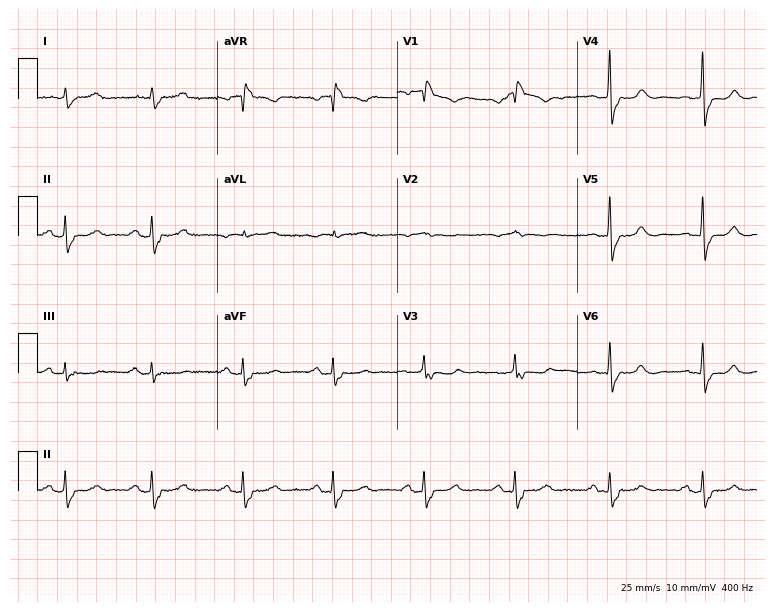
Resting 12-lead electrocardiogram. Patient: a male, 69 years old. None of these six findings is recorded: first-degree AV block, right bundle branch block, left bundle branch block, sinus bradycardia, atrial fibrillation, sinus tachycardia.